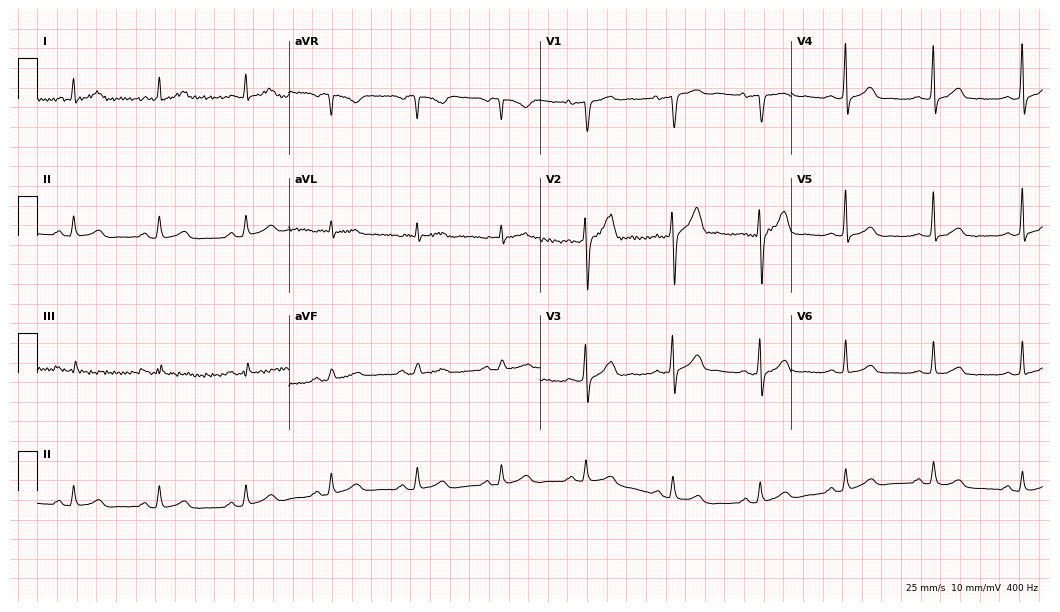
Resting 12-lead electrocardiogram (10.2-second recording at 400 Hz). Patient: a man, 39 years old. Read as a normal ECG.